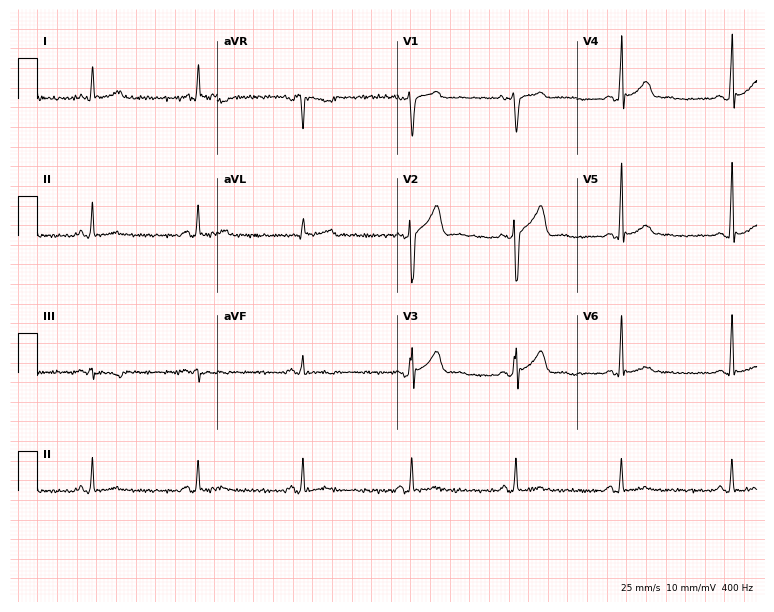
Standard 12-lead ECG recorded from a male, 43 years old (7.3-second recording at 400 Hz). Read as a normal ECG.